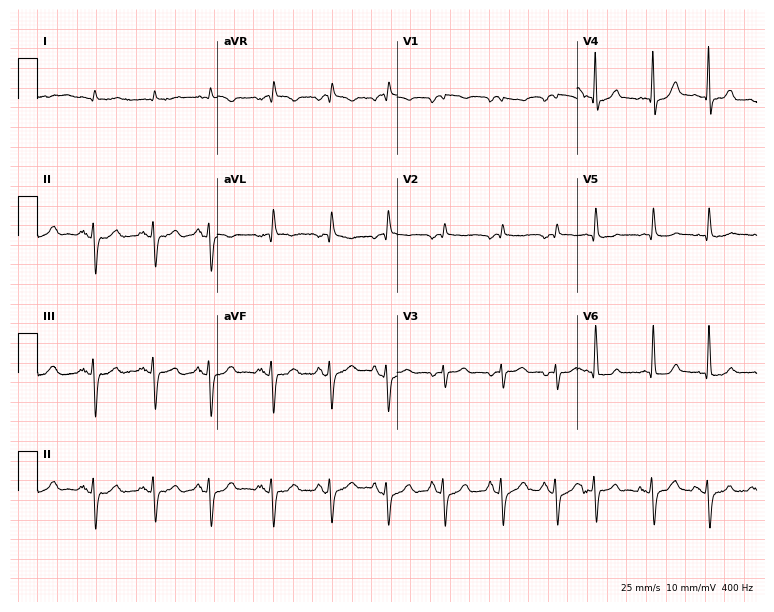
ECG (7.3-second recording at 400 Hz) — a male patient, 81 years old. Findings include sinus tachycardia (a sinus rate of 100 beats per minute or more).